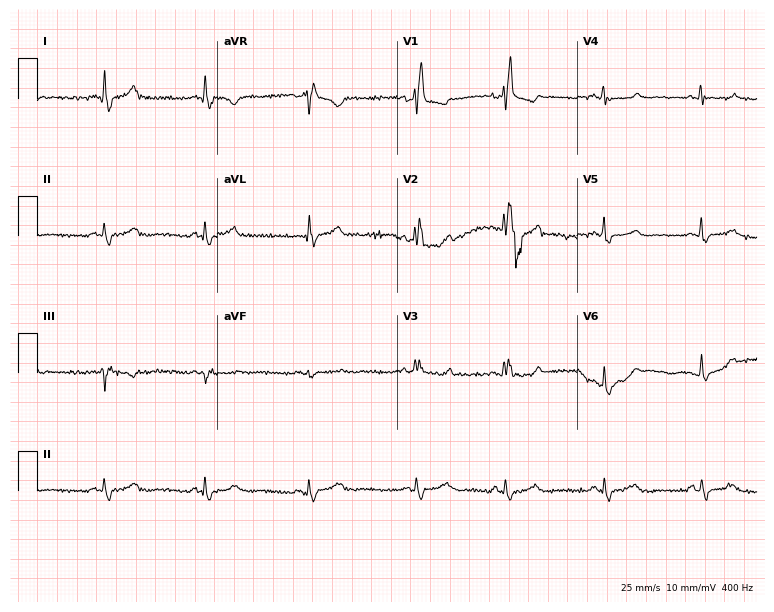
Electrocardiogram, a woman, 64 years old. Interpretation includes right bundle branch block.